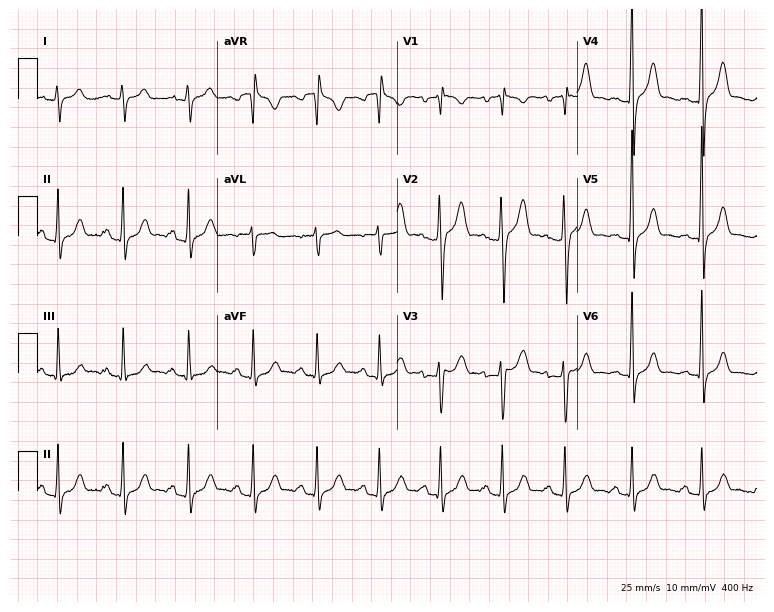
Resting 12-lead electrocardiogram. Patient: a 24-year-old male. None of these six findings is recorded: first-degree AV block, right bundle branch block, left bundle branch block, sinus bradycardia, atrial fibrillation, sinus tachycardia.